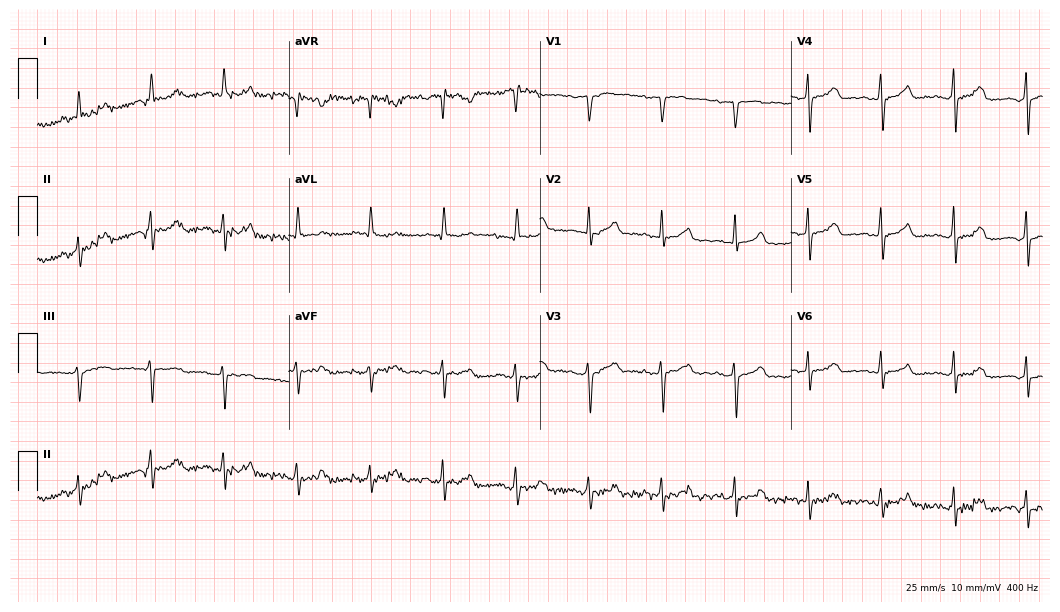
12-lead ECG from a 60-year-old female patient. Labelled as a normal ECG.